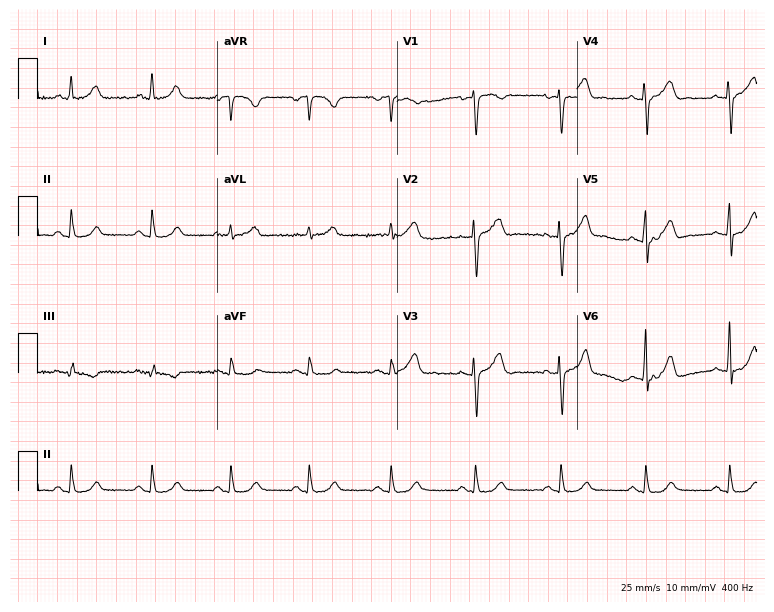
12-lead ECG from a 47-year-old woman (7.3-second recording at 400 Hz). No first-degree AV block, right bundle branch block (RBBB), left bundle branch block (LBBB), sinus bradycardia, atrial fibrillation (AF) or sinus tachycardia recorded for this tracing. Other findings, if any, are not listed.